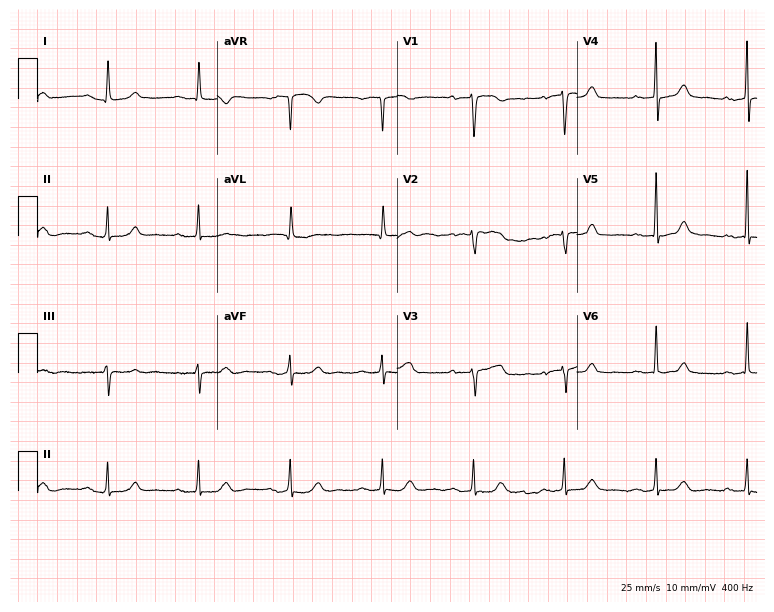
Electrocardiogram (7.3-second recording at 400 Hz), a female patient, 85 years old. Interpretation includes first-degree AV block.